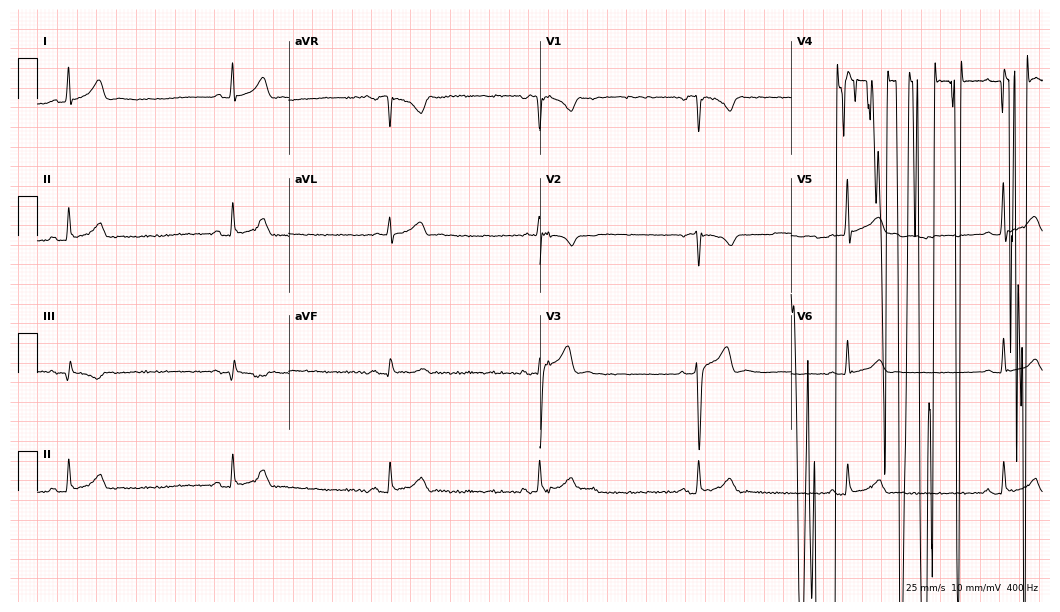
12-lead ECG from a 20-year-old man. No first-degree AV block, right bundle branch block, left bundle branch block, sinus bradycardia, atrial fibrillation or sinus tachycardia recorded for this tracing.